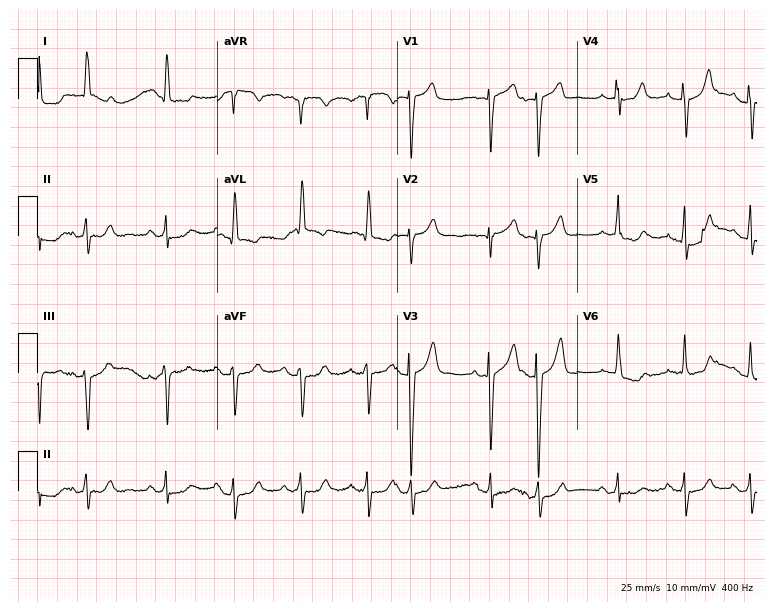
Standard 12-lead ECG recorded from a 73-year-old woman. None of these six findings is recorded: first-degree AV block, right bundle branch block, left bundle branch block, sinus bradycardia, atrial fibrillation, sinus tachycardia.